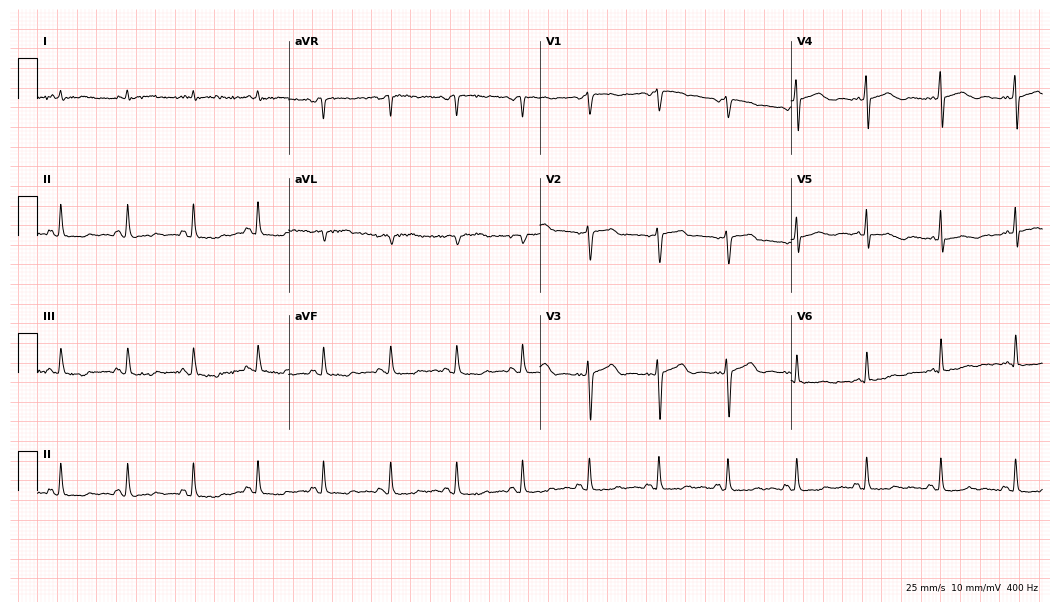
Resting 12-lead electrocardiogram (10.2-second recording at 400 Hz). Patient: a male, 61 years old. None of these six findings is recorded: first-degree AV block, right bundle branch block, left bundle branch block, sinus bradycardia, atrial fibrillation, sinus tachycardia.